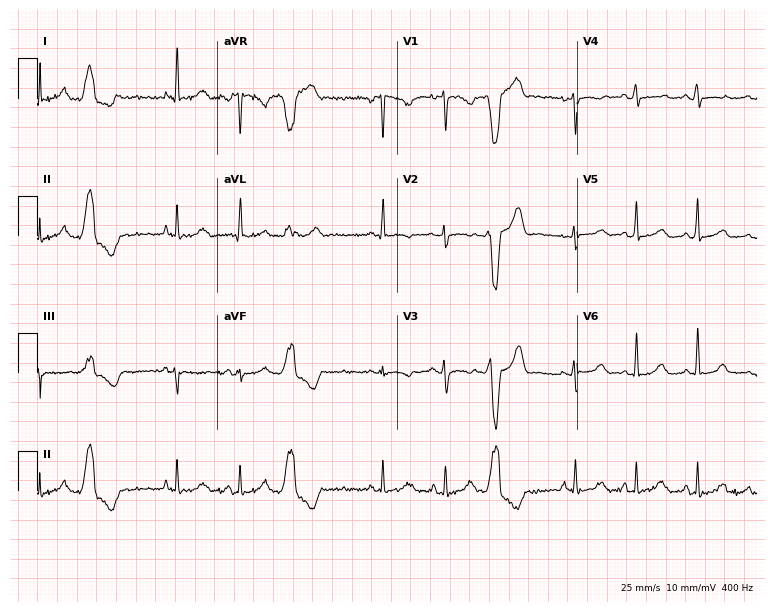
Electrocardiogram (7.3-second recording at 400 Hz), a 35-year-old female patient. Of the six screened findings (first-degree AV block, right bundle branch block, left bundle branch block, sinus bradycardia, atrial fibrillation, sinus tachycardia), none is recorded.